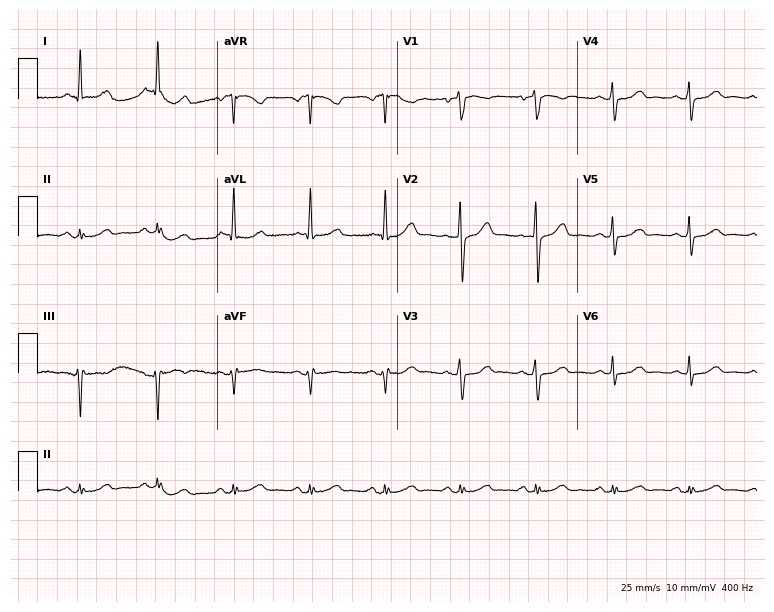
12-lead ECG from a female patient, 56 years old. Labelled as a normal ECG.